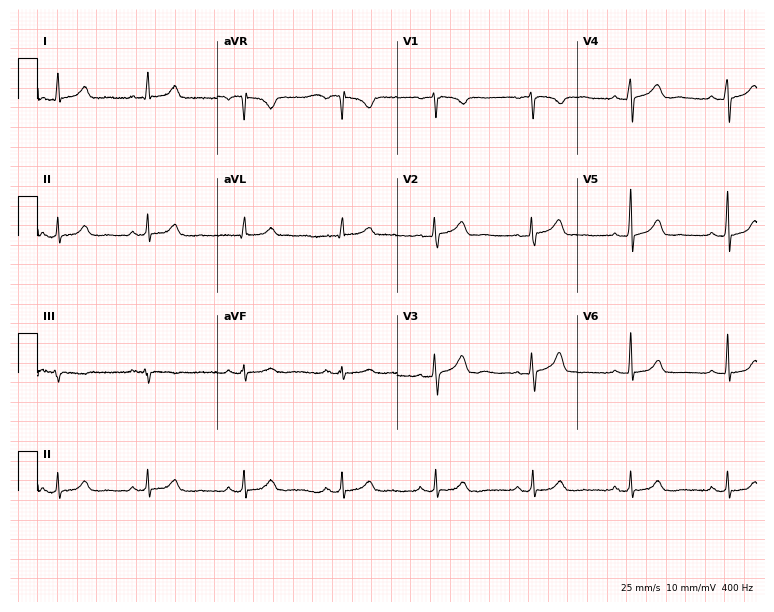
Electrocardiogram, a 48-year-old female. Overall reading on record: normal ECG.